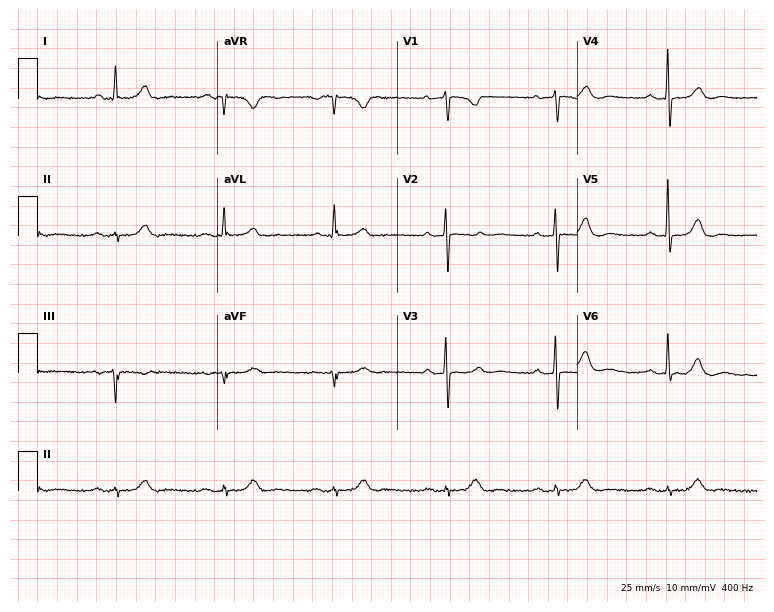
Standard 12-lead ECG recorded from a 66-year-old female patient (7.3-second recording at 400 Hz). None of these six findings is recorded: first-degree AV block, right bundle branch block, left bundle branch block, sinus bradycardia, atrial fibrillation, sinus tachycardia. Findings outside these six are not listed.